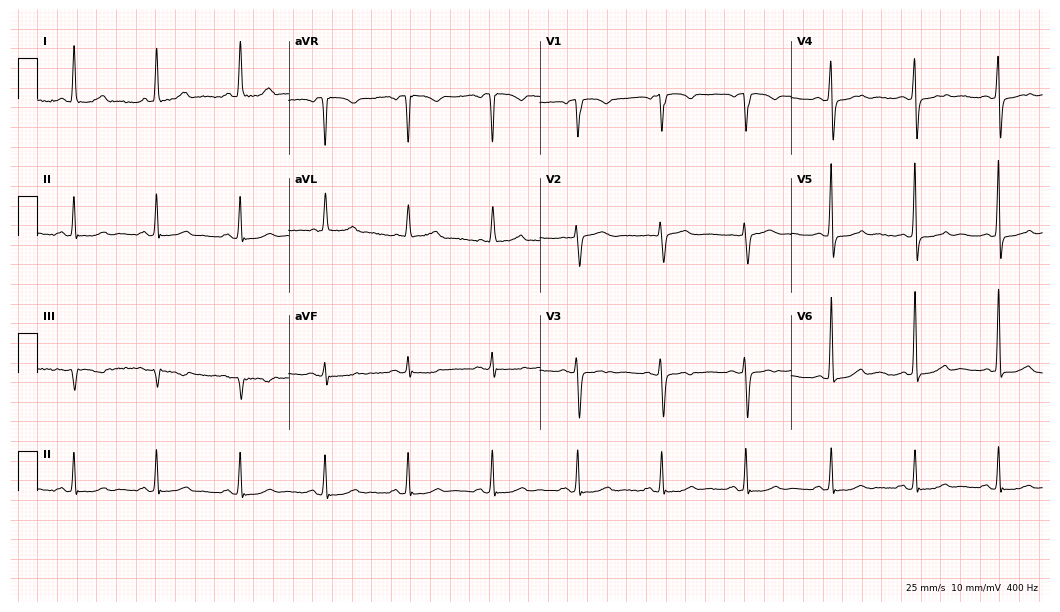
Standard 12-lead ECG recorded from a female patient, 74 years old. None of these six findings is recorded: first-degree AV block, right bundle branch block, left bundle branch block, sinus bradycardia, atrial fibrillation, sinus tachycardia. Other findings, if any, are not listed.